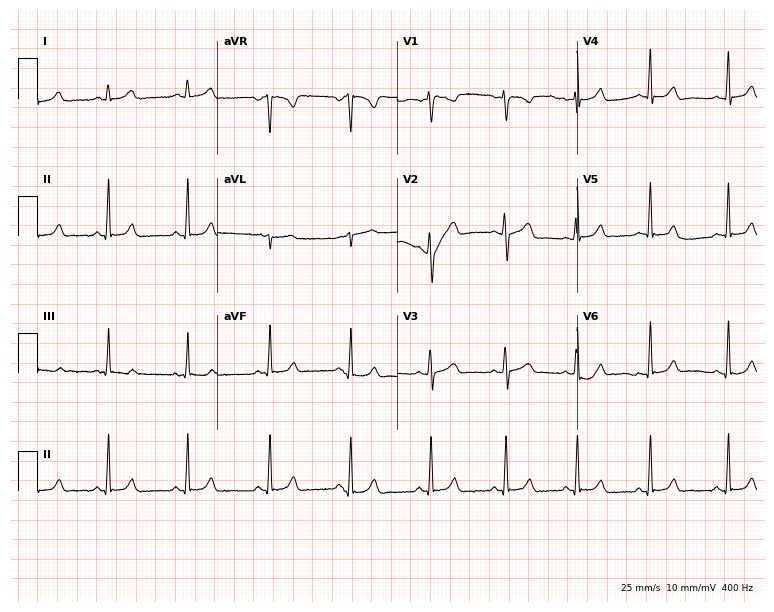
Resting 12-lead electrocardiogram. Patient: a female, 20 years old. Read as a normal ECG.